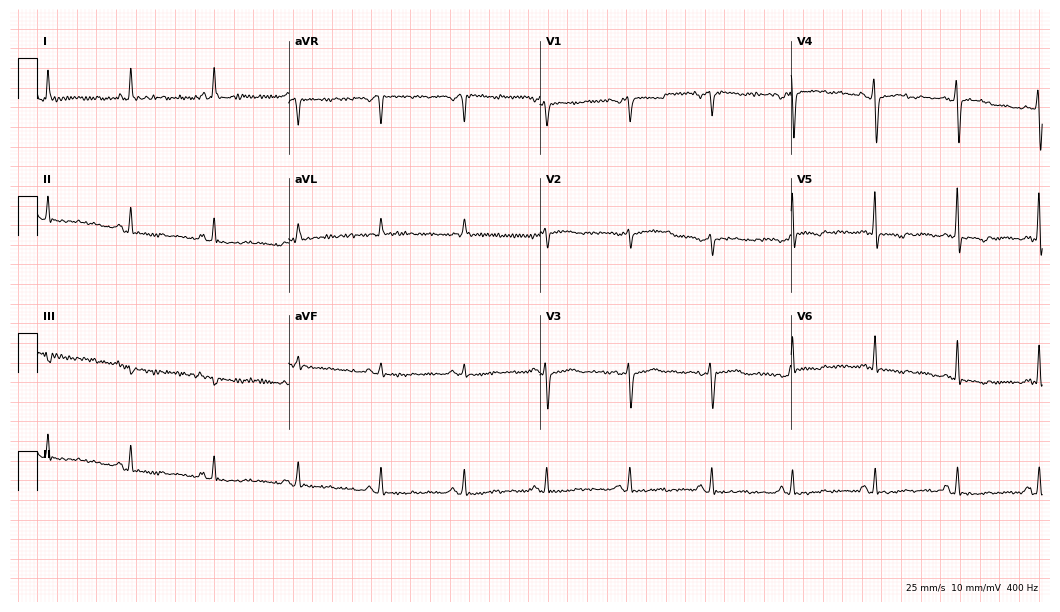
12-lead ECG from a 61-year-old female patient. No first-degree AV block, right bundle branch block (RBBB), left bundle branch block (LBBB), sinus bradycardia, atrial fibrillation (AF) or sinus tachycardia recorded for this tracing.